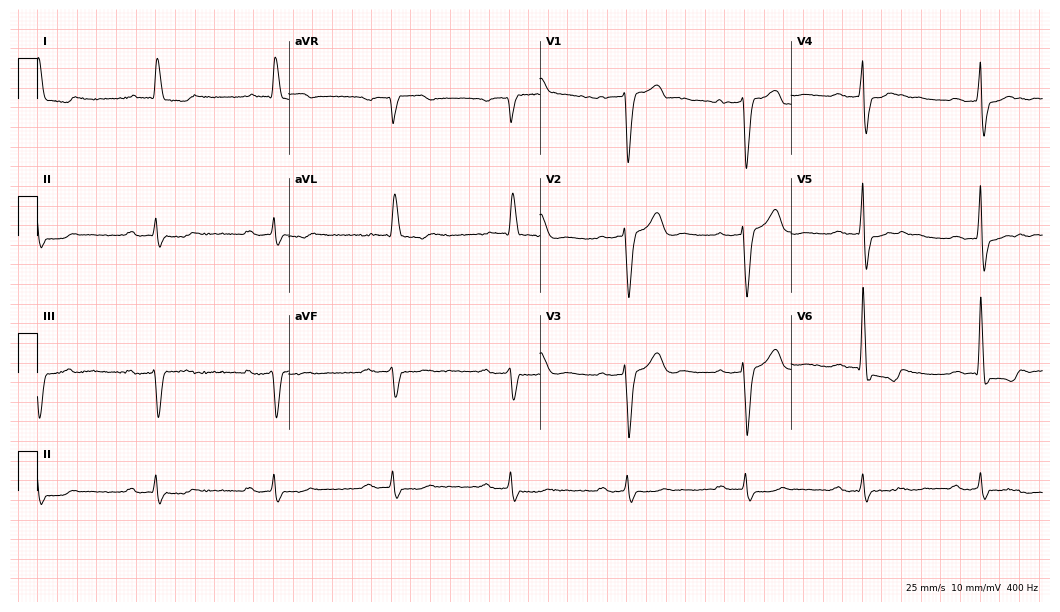
Electrocardiogram, a male, 83 years old. Interpretation includes first-degree AV block, right bundle branch block, left bundle branch block, sinus bradycardia (a sinus rate of 50 beats per minute or less).